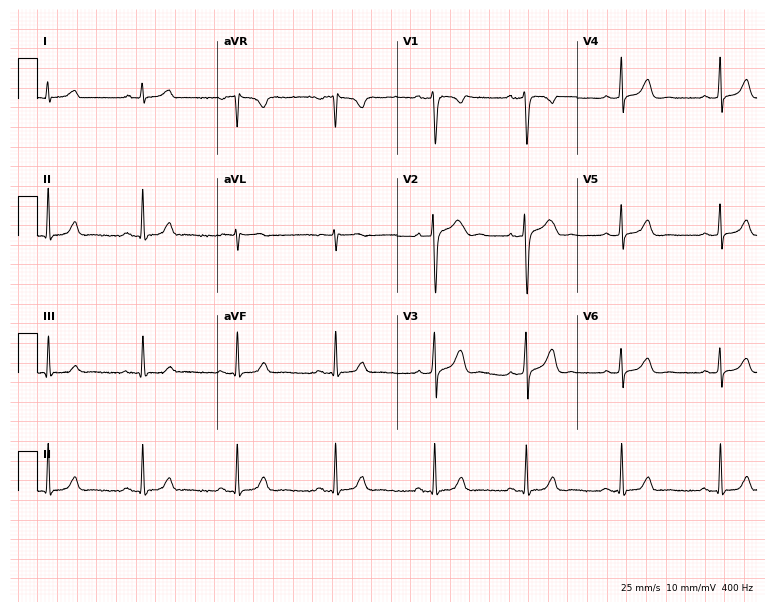
Standard 12-lead ECG recorded from a female patient, 33 years old (7.3-second recording at 400 Hz). None of these six findings is recorded: first-degree AV block, right bundle branch block, left bundle branch block, sinus bradycardia, atrial fibrillation, sinus tachycardia.